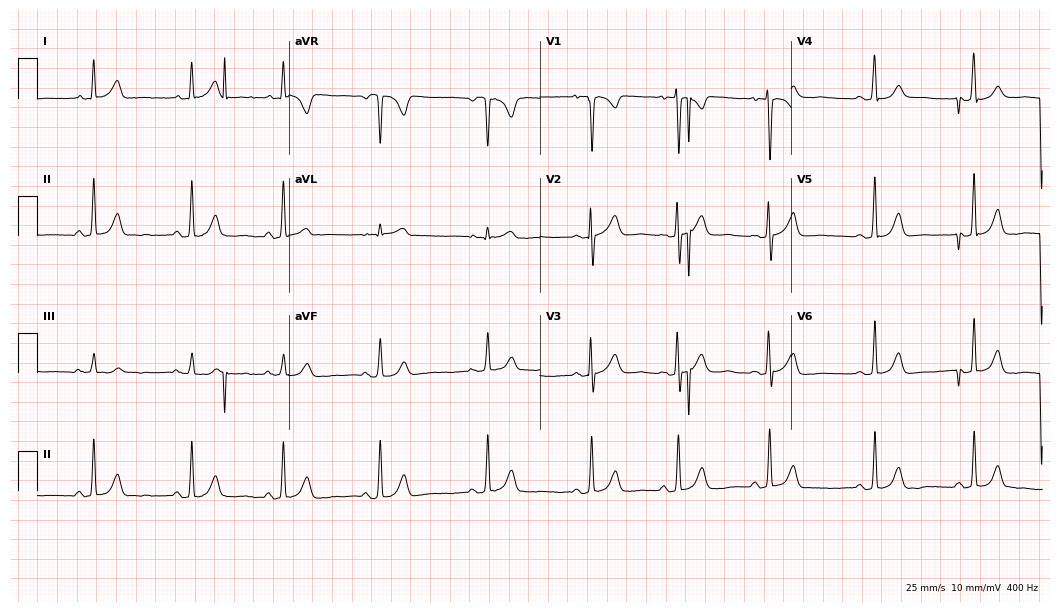
Resting 12-lead electrocardiogram (10.2-second recording at 400 Hz). Patient: a 34-year-old woman. None of these six findings is recorded: first-degree AV block, right bundle branch block, left bundle branch block, sinus bradycardia, atrial fibrillation, sinus tachycardia.